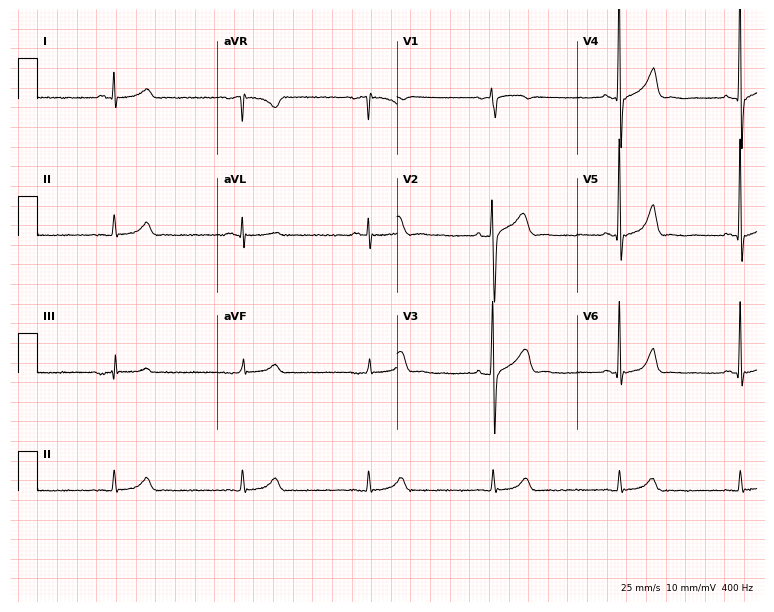
Standard 12-lead ECG recorded from a 48-year-old male. None of these six findings is recorded: first-degree AV block, right bundle branch block, left bundle branch block, sinus bradycardia, atrial fibrillation, sinus tachycardia.